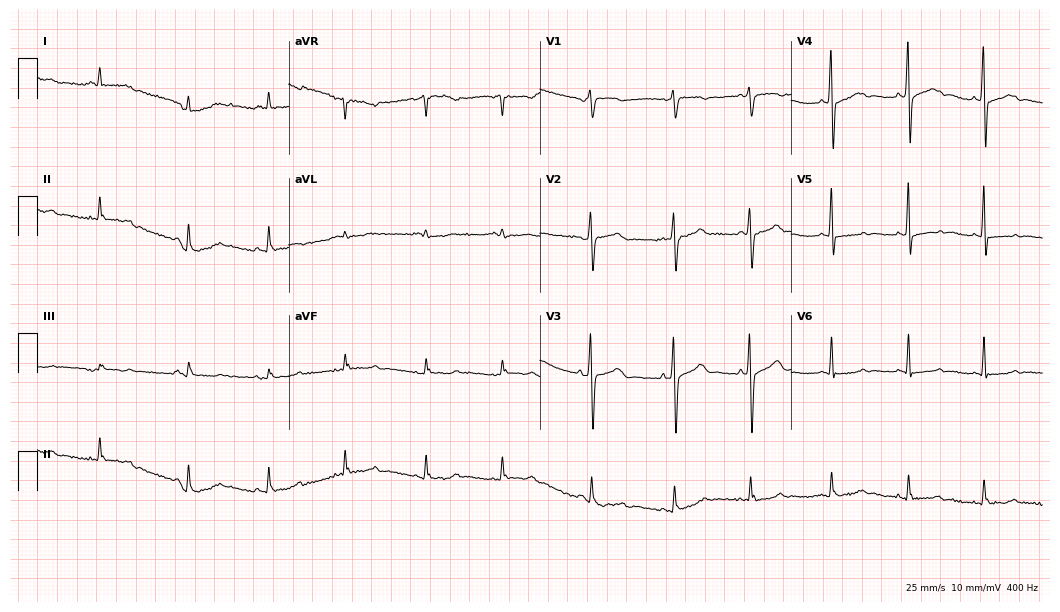
12-lead ECG from a female patient, 84 years old. No first-degree AV block, right bundle branch block (RBBB), left bundle branch block (LBBB), sinus bradycardia, atrial fibrillation (AF) or sinus tachycardia recorded for this tracing.